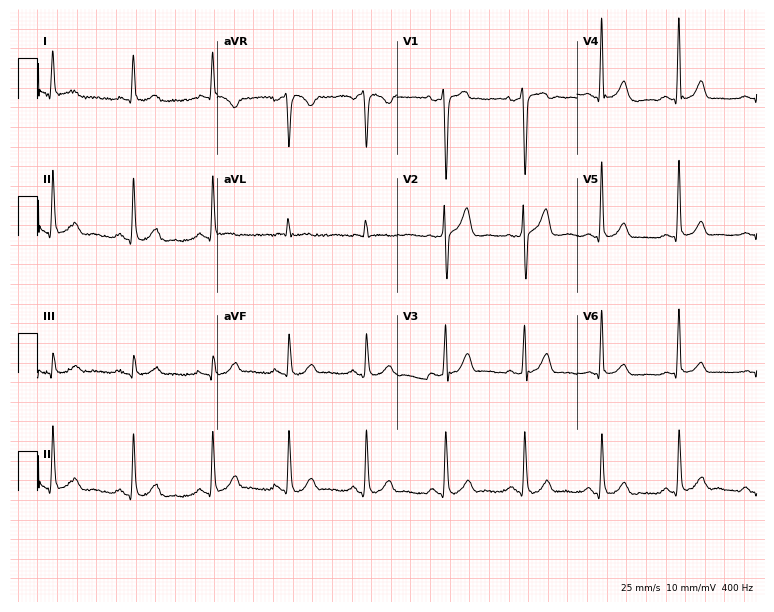
Electrocardiogram, a male patient, 33 years old. Overall reading on record: normal ECG.